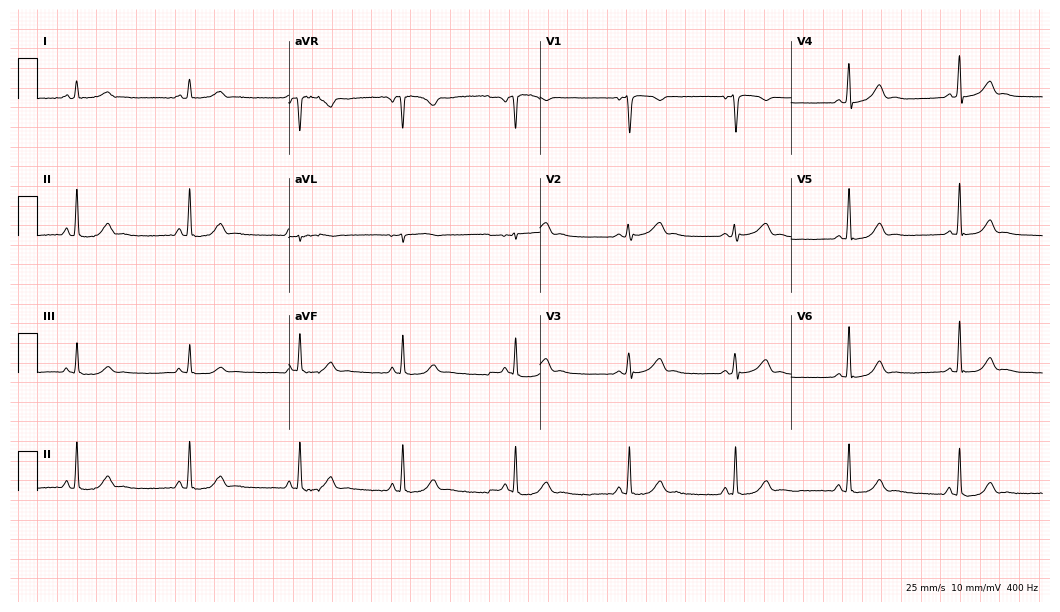
12-lead ECG from a 32-year-old woman (10.2-second recording at 400 Hz). No first-degree AV block, right bundle branch block (RBBB), left bundle branch block (LBBB), sinus bradycardia, atrial fibrillation (AF) or sinus tachycardia recorded for this tracing. Only these six findings were labelled.